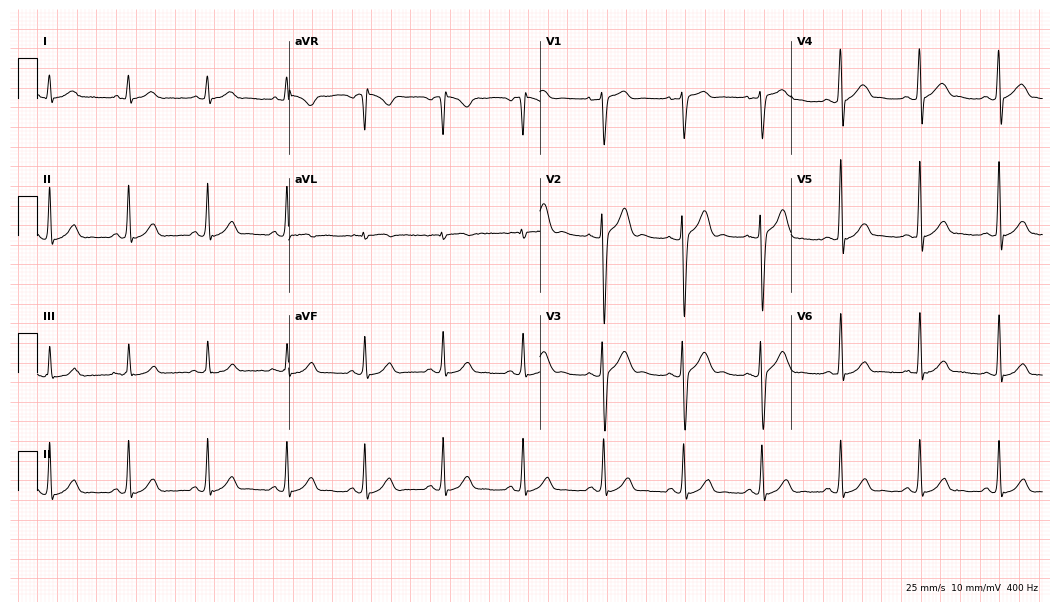
12-lead ECG from a male patient, 23 years old. Recorded interpretation: within normal limits.